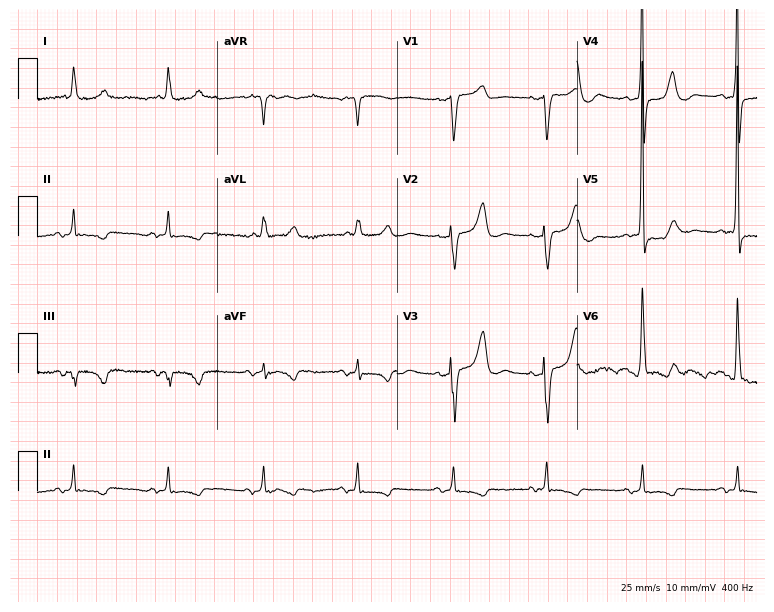
12-lead ECG from an 82-year-old female patient (7.3-second recording at 400 Hz). No first-degree AV block, right bundle branch block, left bundle branch block, sinus bradycardia, atrial fibrillation or sinus tachycardia recorded for this tracing. Other findings, if any, are not listed.